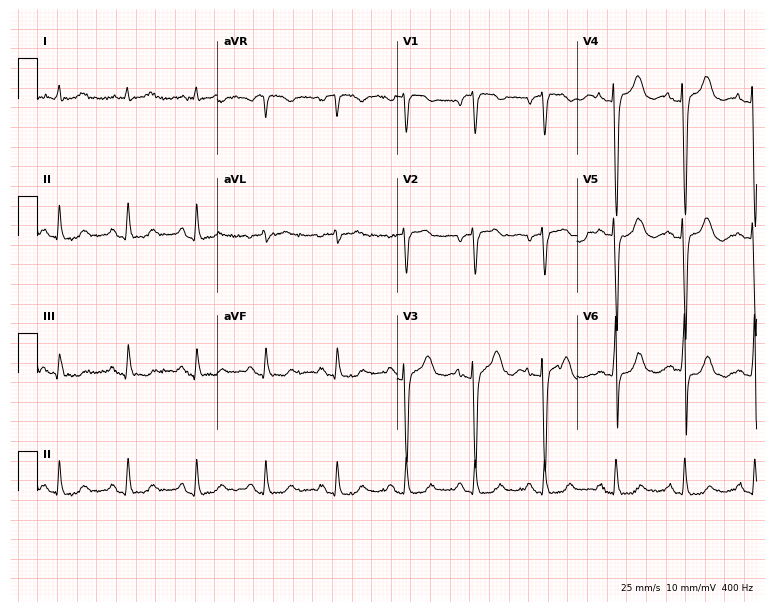
Electrocardiogram, an 80-year-old woman. Of the six screened findings (first-degree AV block, right bundle branch block, left bundle branch block, sinus bradycardia, atrial fibrillation, sinus tachycardia), none is recorded.